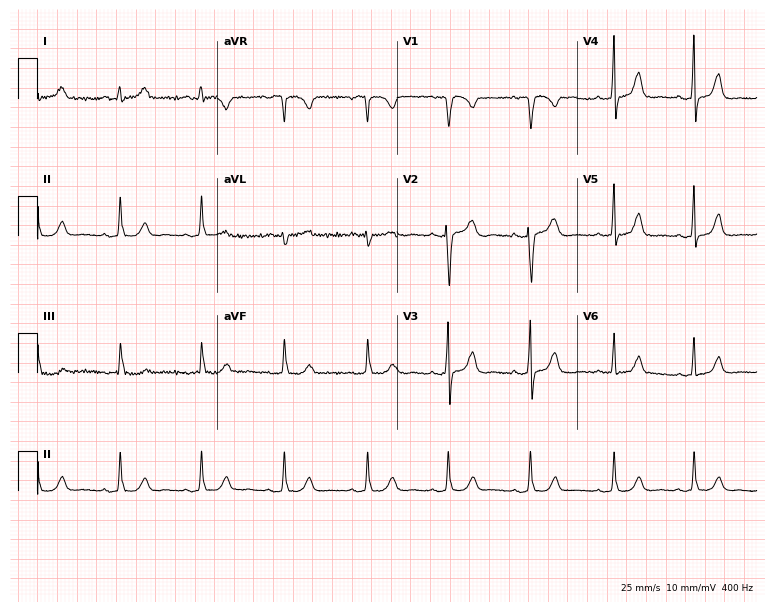
12-lead ECG from a female patient, 35 years old. Recorded interpretation: within normal limits.